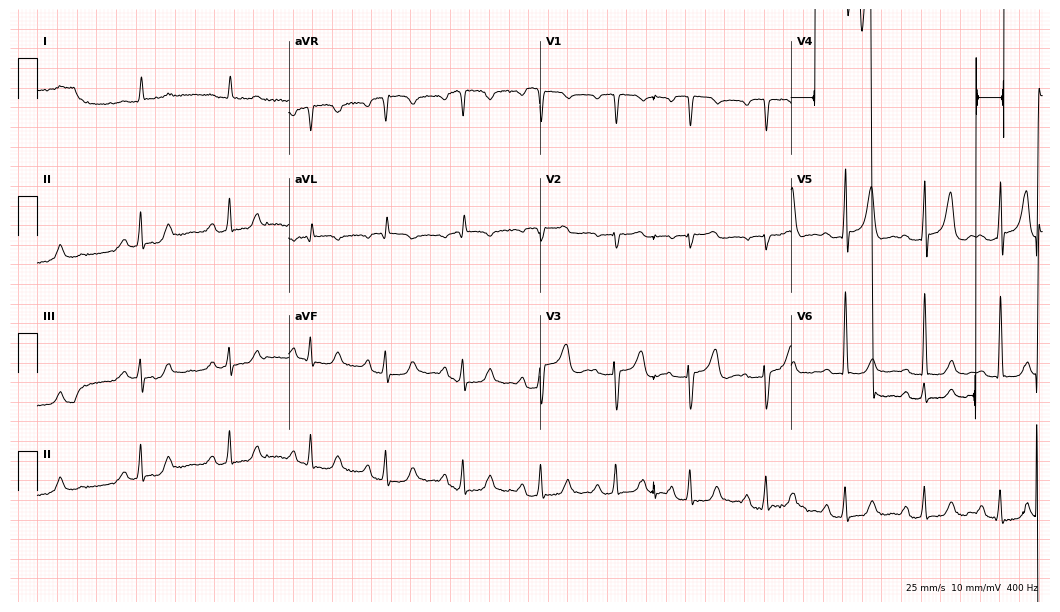
ECG — a 76-year-old female. Screened for six findings — first-degree AV block, right bundle branch block (RBBB), left bundle branch block (LBBB), sinus bradycardia, atrial fibrillation (AF), sinus tachycardia — none is recorded.